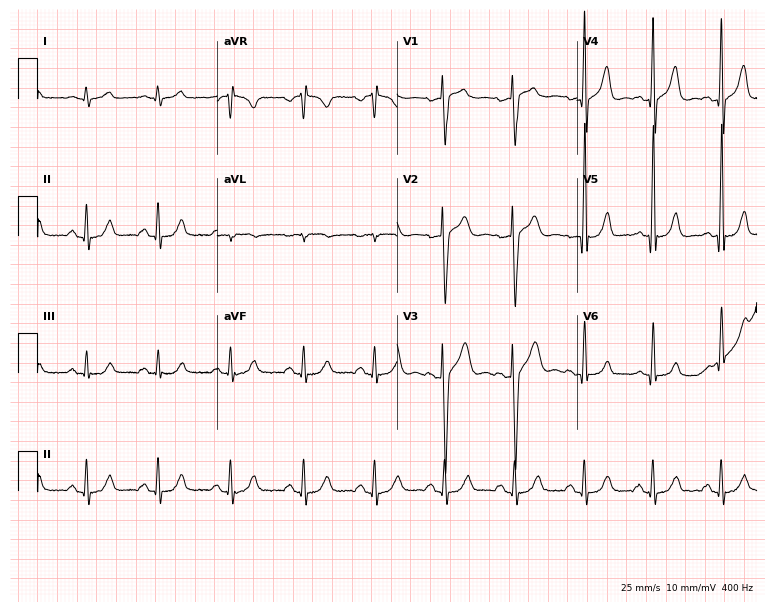
12-lead ECG (7.3-second recording at 400 Hz) from a male patient, 43 years old. Screened for six findings — first-degree AV block, right bundle branch block, left bundle branch block, sinus bradycardia, atrial fibrillation, sinus tachycardia — none is recorded. Only these six findings were labelled.